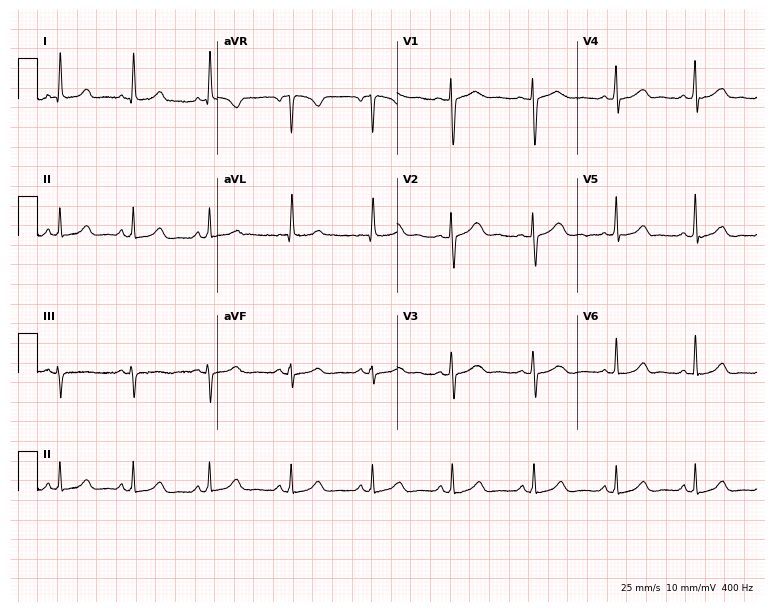
12-lead ECG (7.3-second recording at 400 Hz) from a female, 53 years old. Labelled as a normal ECG.